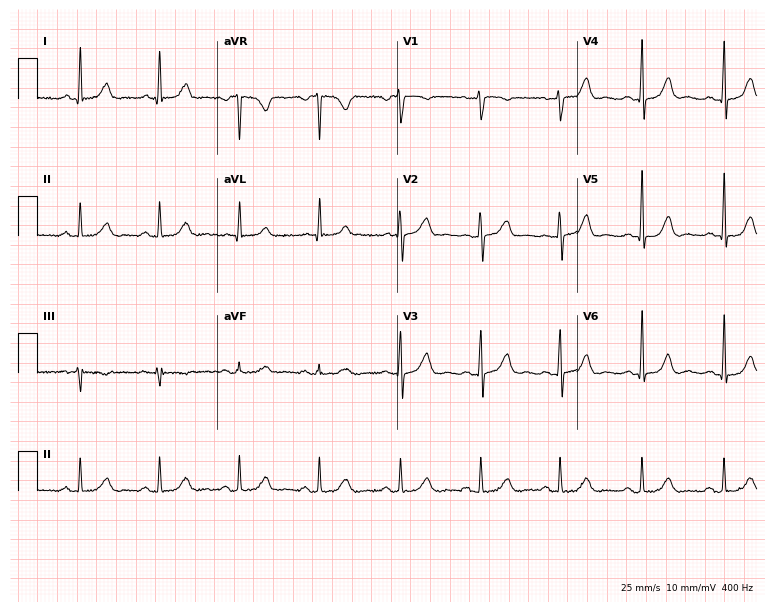
Standard 12-lead ECG recorded from a female patient, 45 years old. None of these six findings is recorded: first-degree AV block, right bundle branch block (RBBB), left bundle branch block (LBBB), sinus bradycardia, atrial fibrillation (AF), sinus tachycardia.